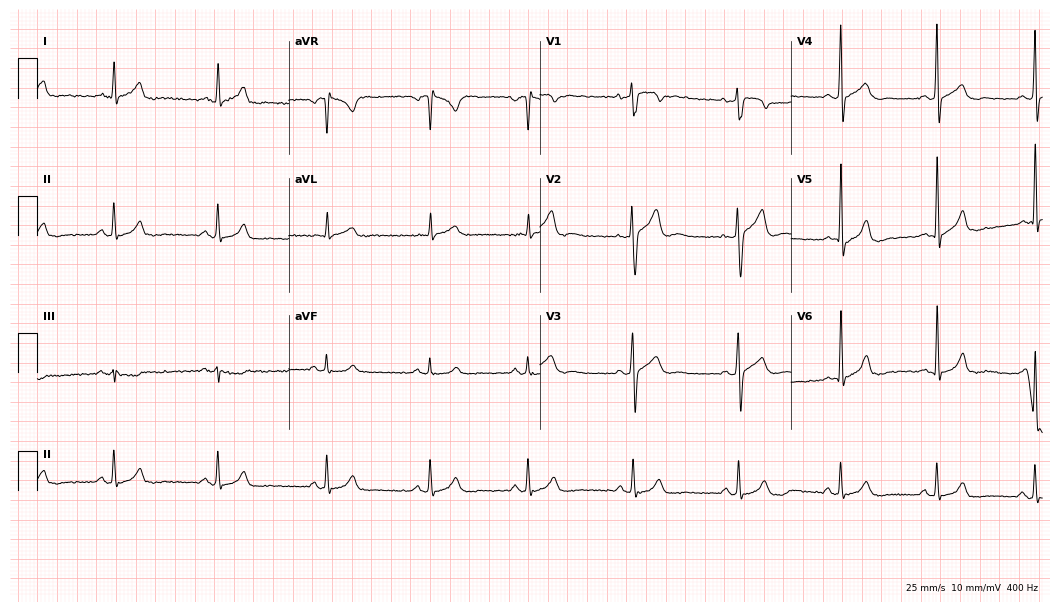
Resting 12-lead electrocardiogram. Patient: a 33-year-old male. Read as a normal ECG.